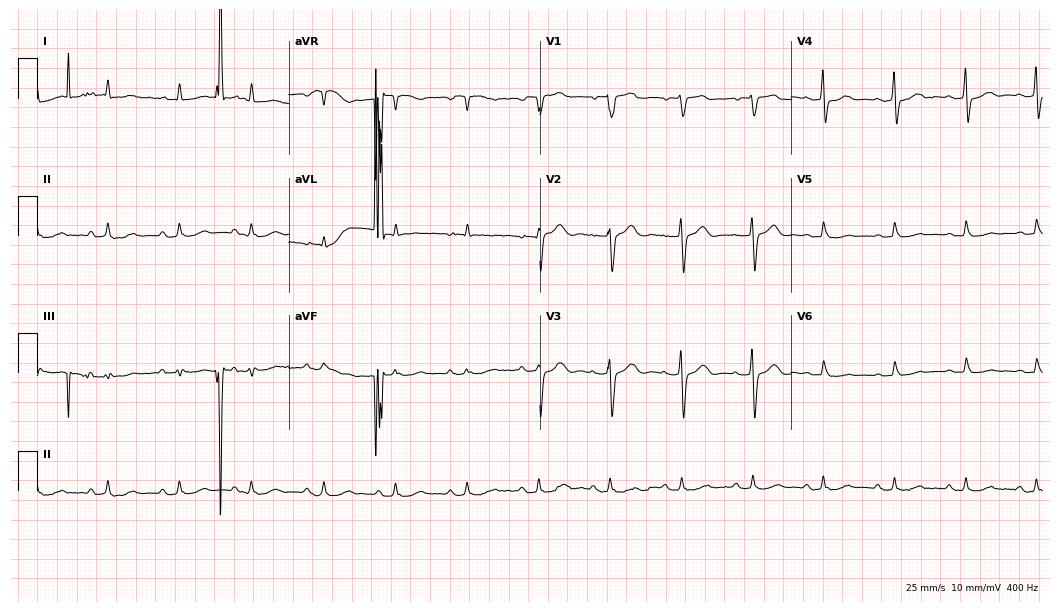
Resting 12-lead electrocardiogram. Patient: a male, 80 years old. None of these six findings is recorded: first-degree AV block, right bundle branch block, left bundle branch block, sinus bradycardia, atrial fibrillation, sinus tachycardia. Other findings, if any, are not listed.